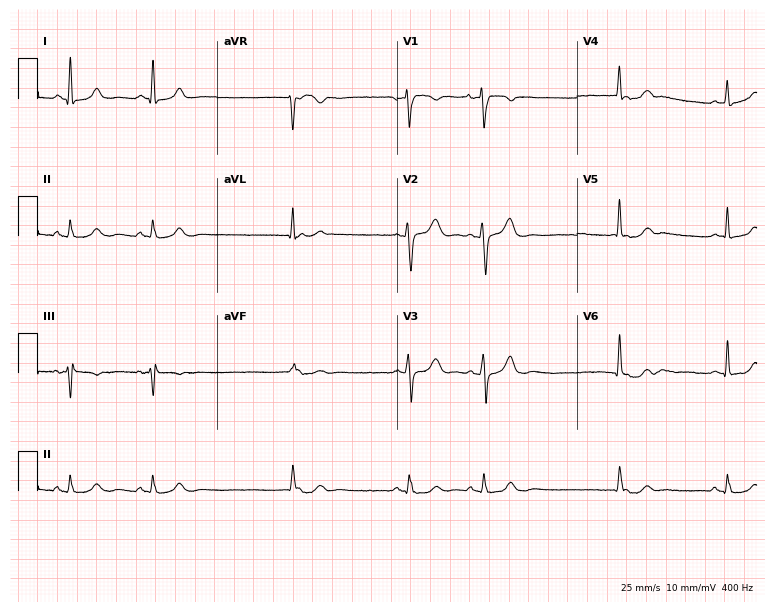
12-lead ECG (7.3-second recording at 400 Hz) from a woman, 48 years old. Screened for six findings — first-degree AV block, right bundle branch block (RBBB), left bundle branch block (LBBB), sinus bradycardia, atrial fibrillation (AF), sinus tachycardia — none is recorded.